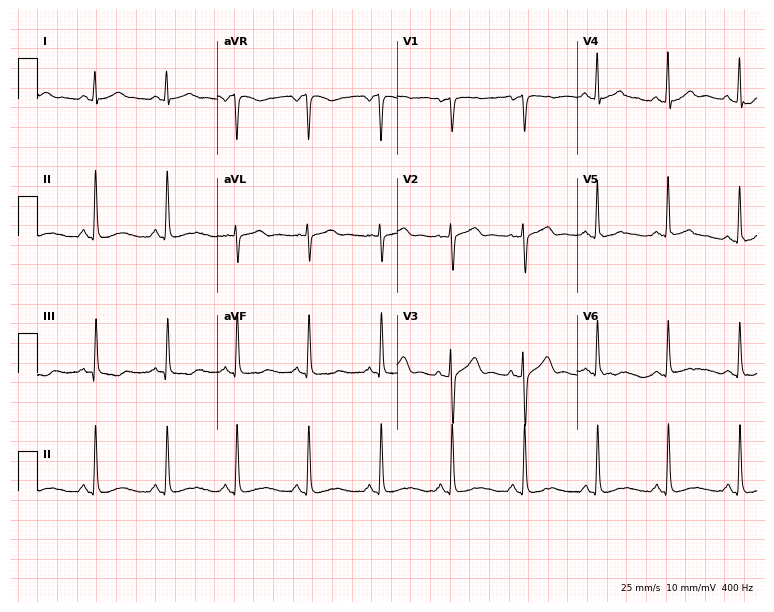
12-lead ECG (7.3-second recording at 400 Hz) from a 45-year-old female. Labelled as a normal ECG.